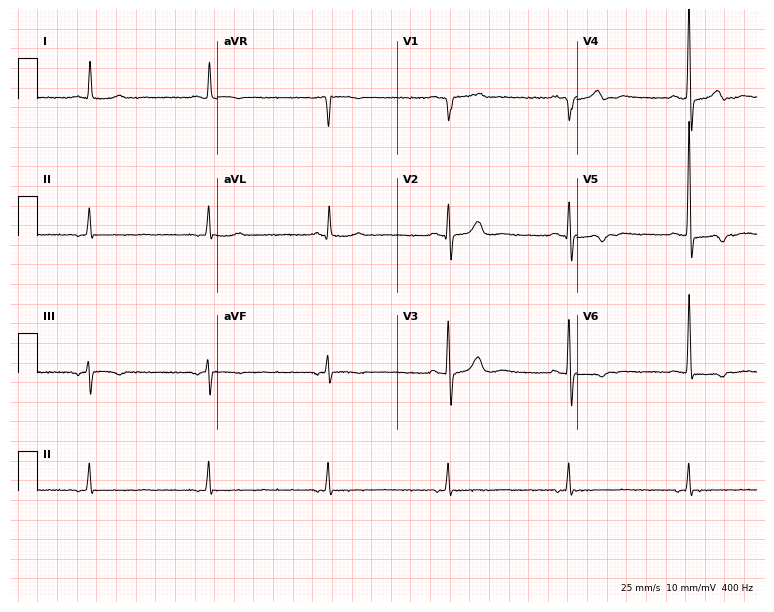
Standard 12-lead ECG recorded from a male, 86 years old. None of these six findings is recorded: first-degree AV block, right bundle branch block (RBBB), left bundle branch block (LBBB), sinus bradycardia, atrial fibrillation (AF), sinus tachycardia. Other findings, if any, are not listed.